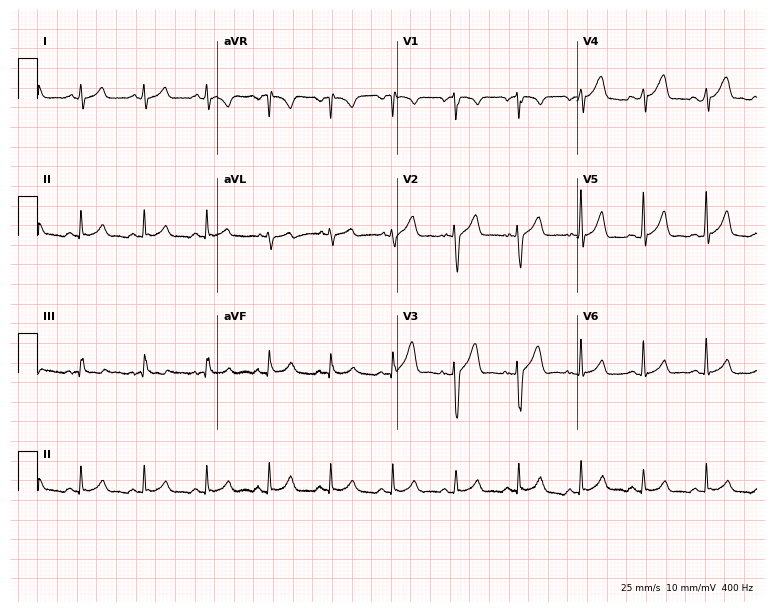
Resting 12-lead electrocardiogram. Patient: a 24-year-old male. Read as a normal ECG.